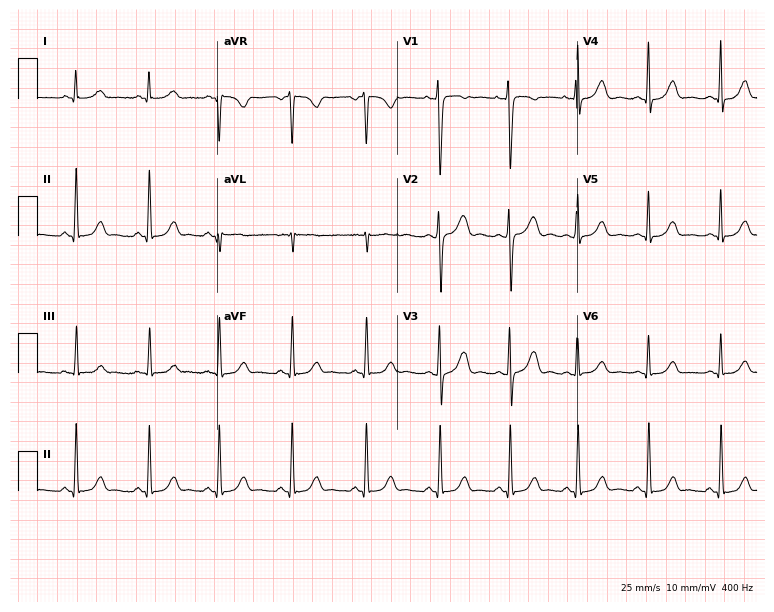
Electrocardiogram, a woman, 22 years old. Of the six screened findings (first-degree AV block, right bundle branch block, left bundle branch block, sinus bradycardia, atrial fibrillation, sinus tachycardia), none is recorded.